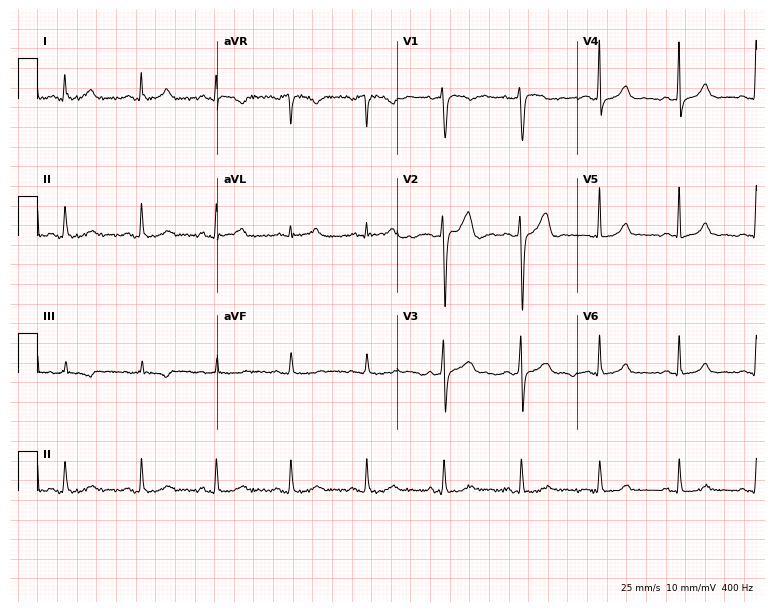
12-lead ECG (7.3-second recording at 400 Hz) from a 40-year-old male. Labelled as a normal ECG.